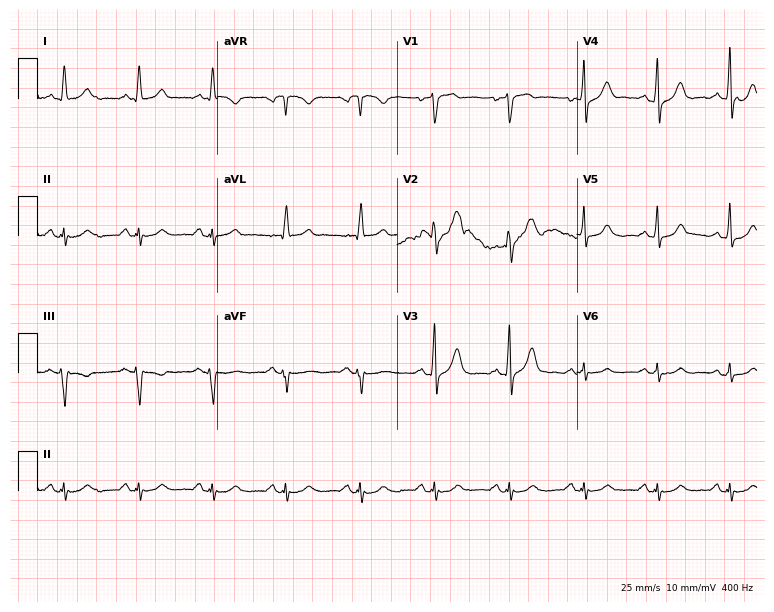
12-lead ECG from a male patient, 71 years old (7.3-second recording at 400 Hz). Recorded interpretation: within normal limits.